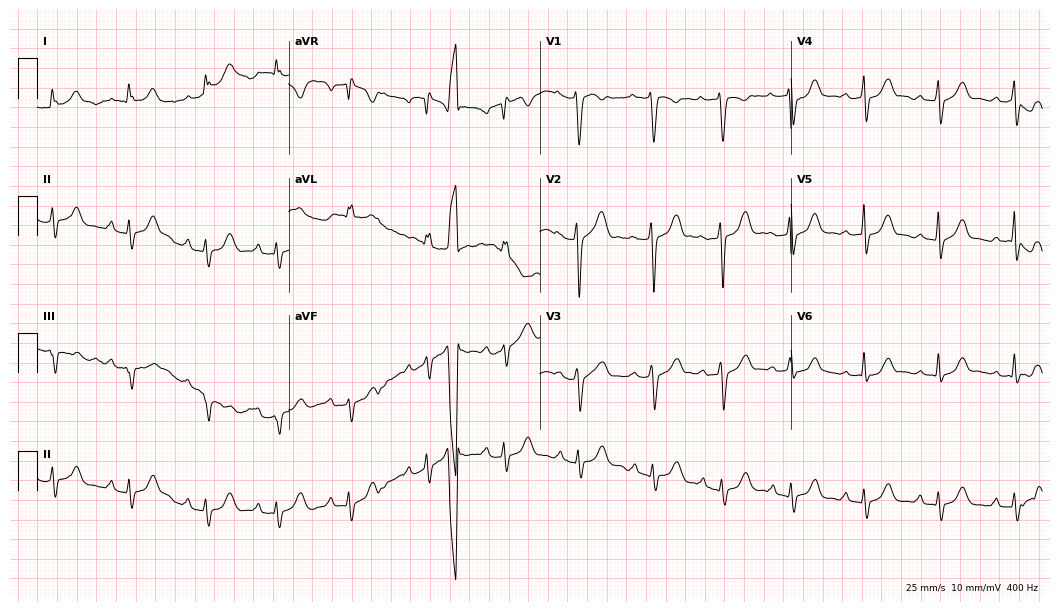
Resting 12-lead electrocardiogram. Patient: a 39-year-old female. None of these six findings is recorded: first-degree AV block, right bundle branch block, left bundle branch block, sinus bradycardia, atrial fibrillation, sinus tachycardia. Other findings, if any, are not listed.